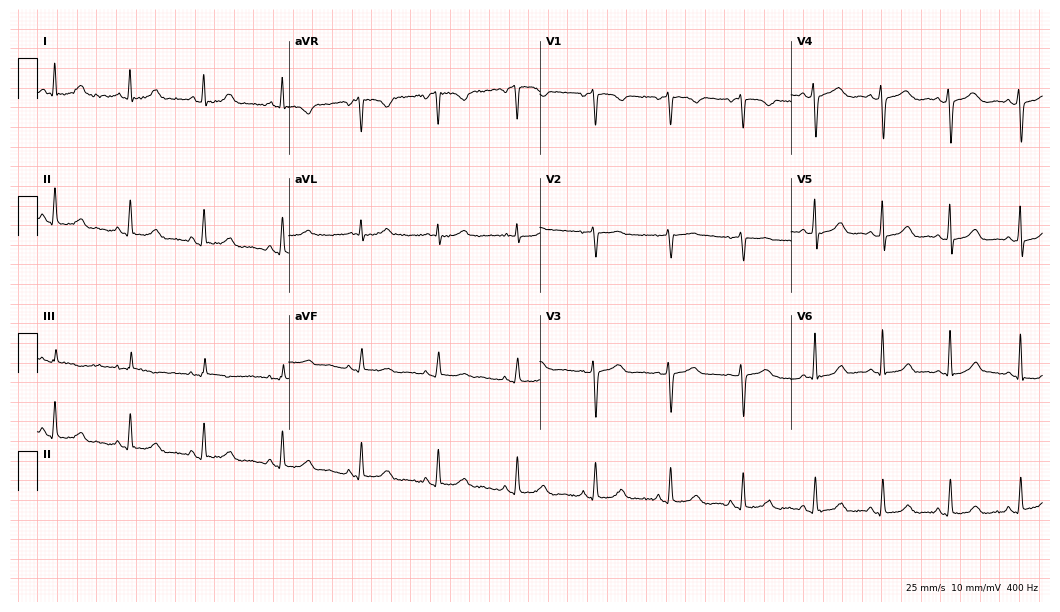
Standard 12-lead ECG recorded from a 55-year-old female (10.2-second recording at 400 Hz). Read as a normal ECG.